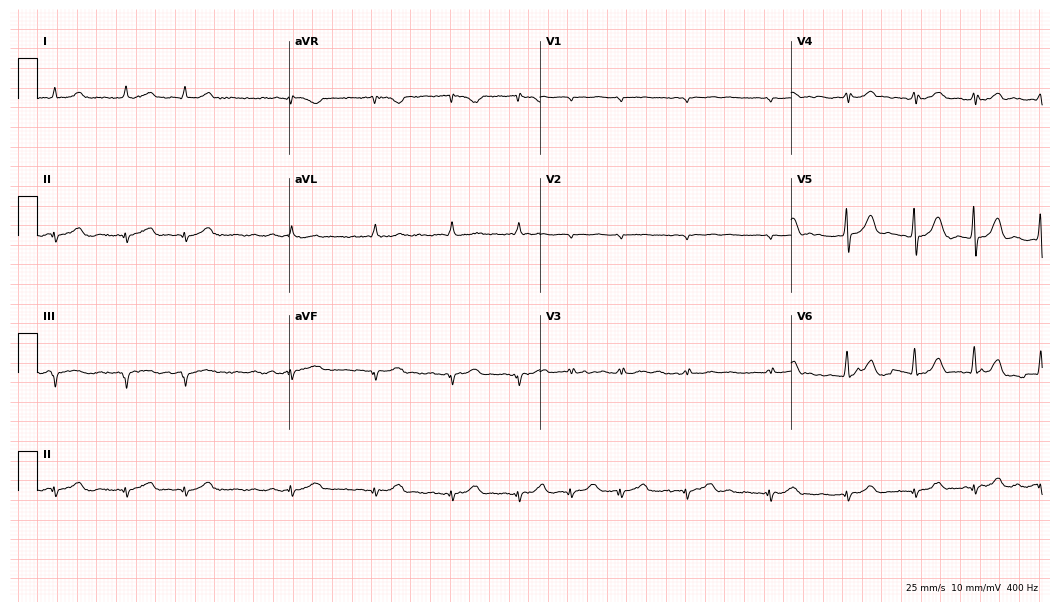
12-lead ECG (10.2-second recording at 400 Hz) from an 82-year-old man. Findings include atrial fibrillation (AF).